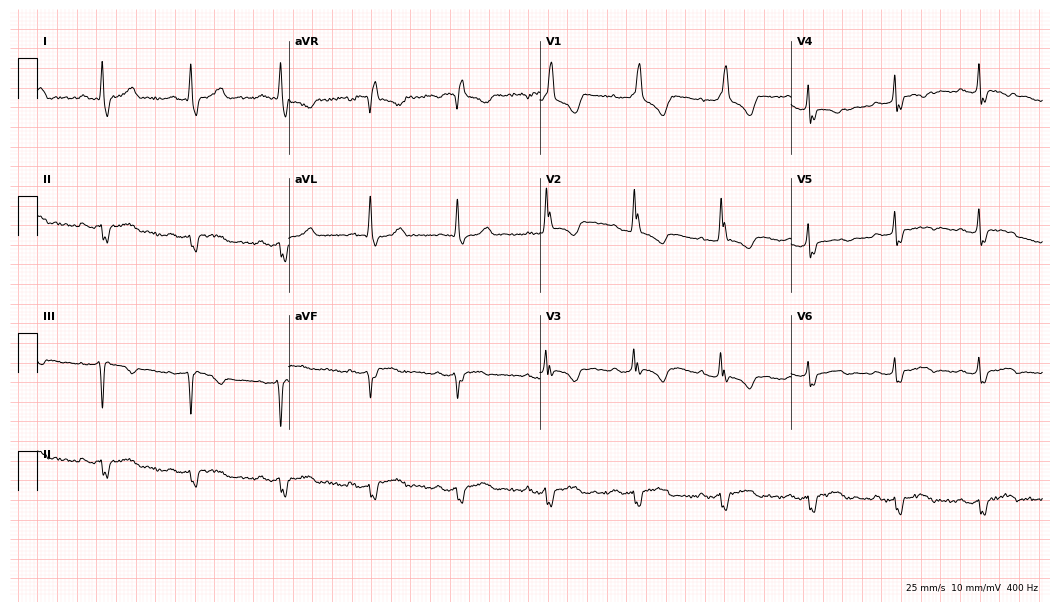
Resting 12-lead electrocardiogram. Patient: a female, 42 years old. The tracing shows right bundle branch block.